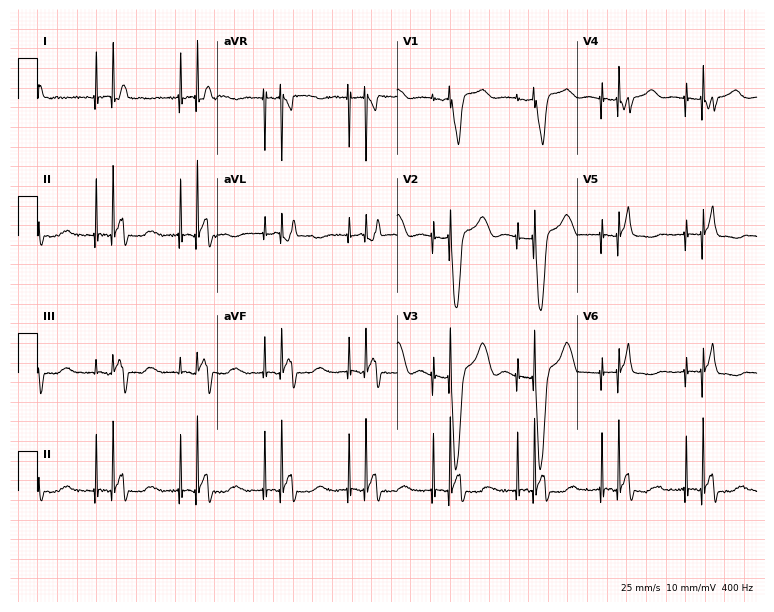
12-lead ECG from a 62-year-old female patient. No first-degree AV block, right bundle branch block, left bundle branch block, sinus bradycardia, atrial fibrillation or sinus tachycardia recorded for this tracing.